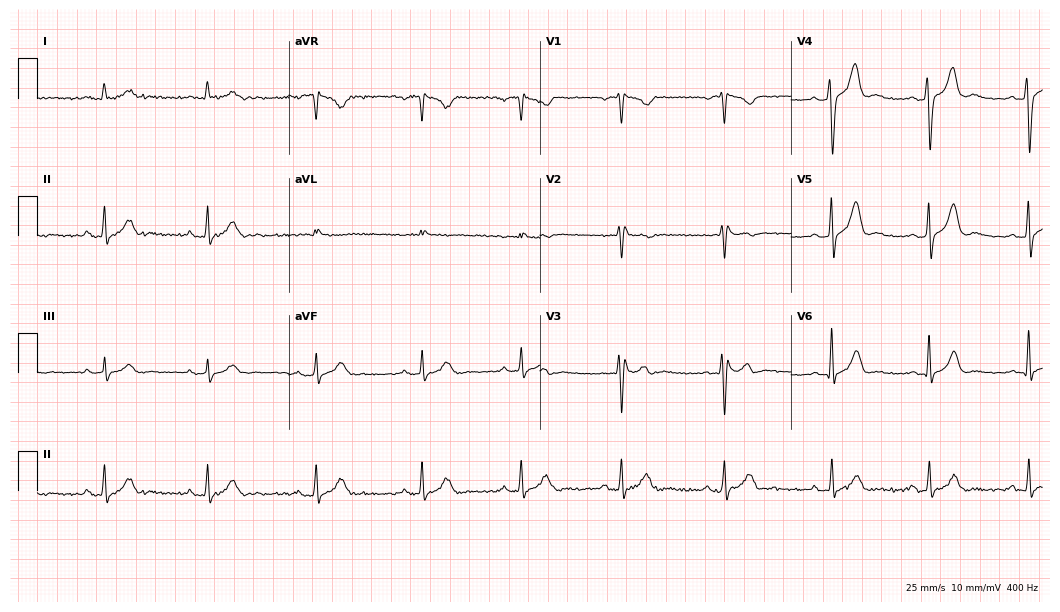
Electrocardiogram, a 32-year-old male. Of the six screened findings (first-degree AV block, right bundle branch block, left bundle branch block, sinus bradycardia, atrial fibrillation, sinus tachycardia), none is recorded.